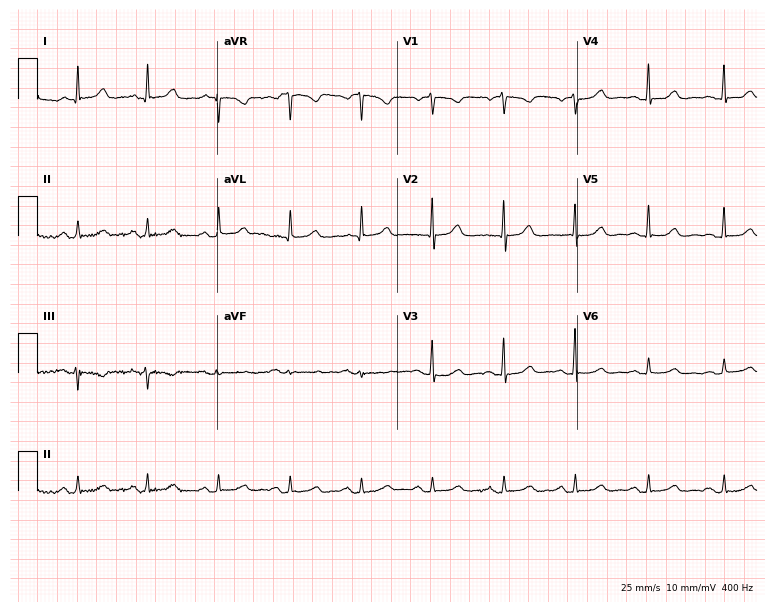
Resting 12-lead electrocardiogram. Patient: a woman, 65 years old. Read as a normal ECG.